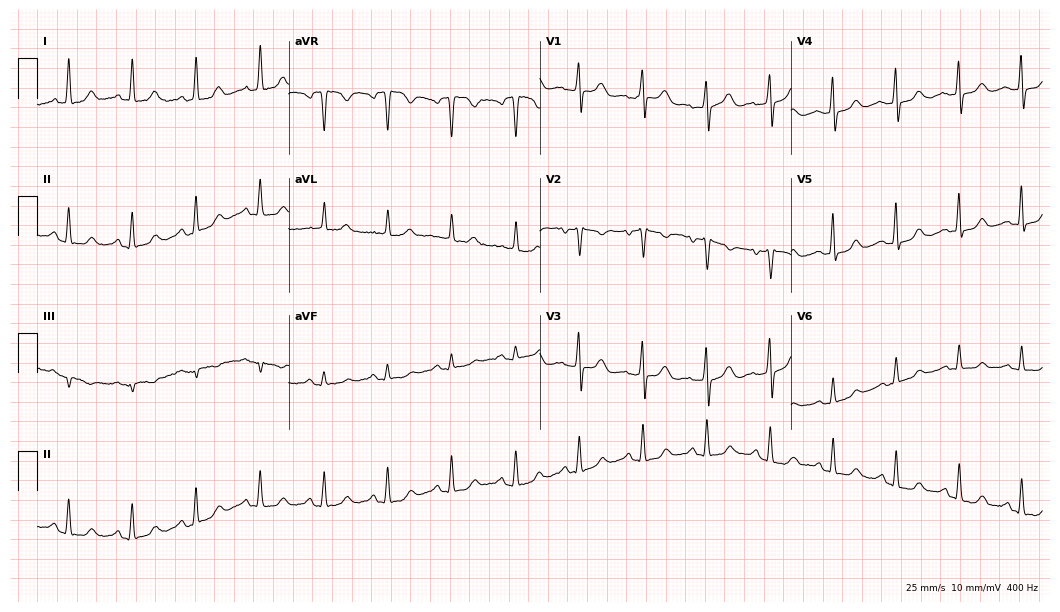
12-lead ECG (10.2-second recording at 400 Hz) from a female, 67 years old. Labelled as a normal ECG.